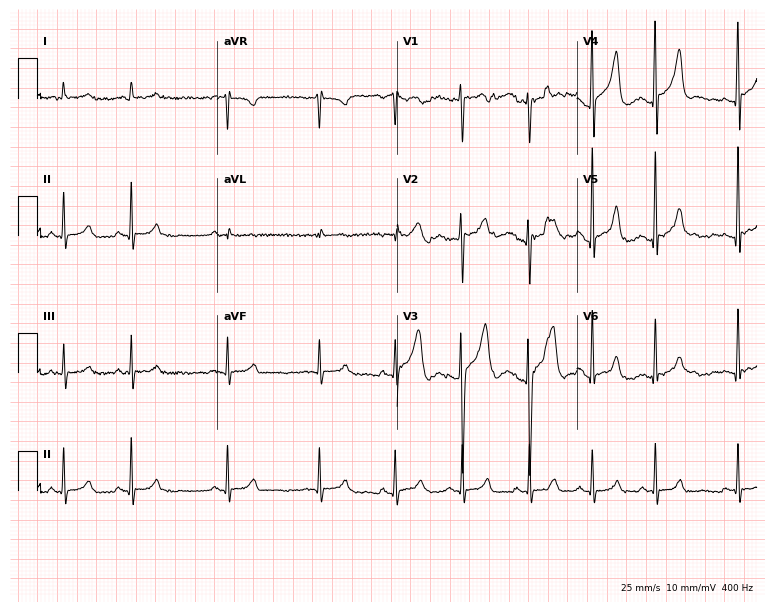
ECG — a male, 29 years old. Labelled as a normal ECG.